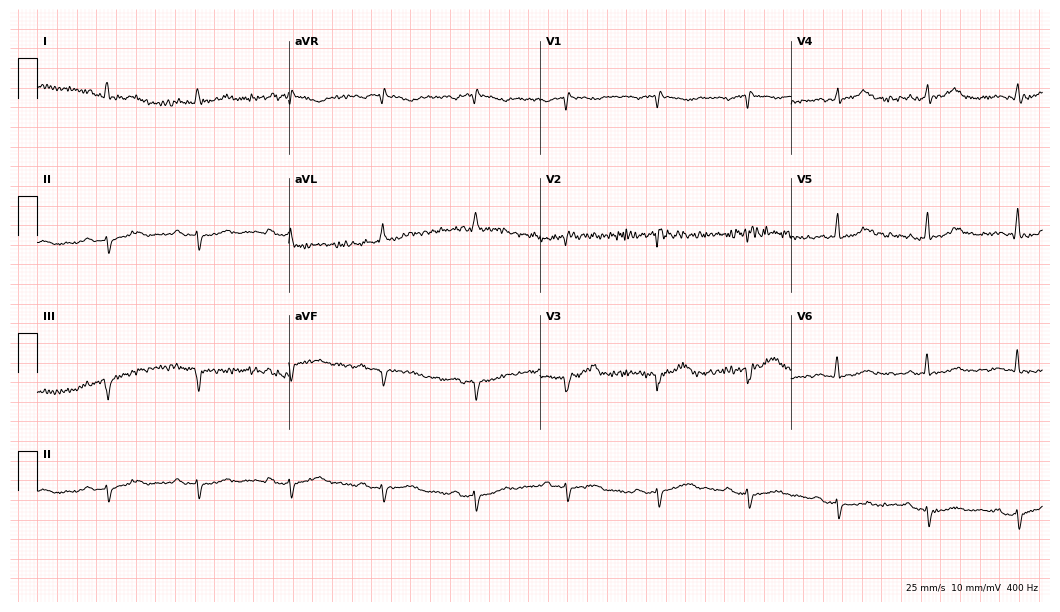
Electrocardiogram, a male, 85 years old. Of the six screened findings (first-degree AV block, right bundle branch block, left bundle branch block, sinus bradycardia, atrial fibrillation, sinus tachycardia), none is recorded.